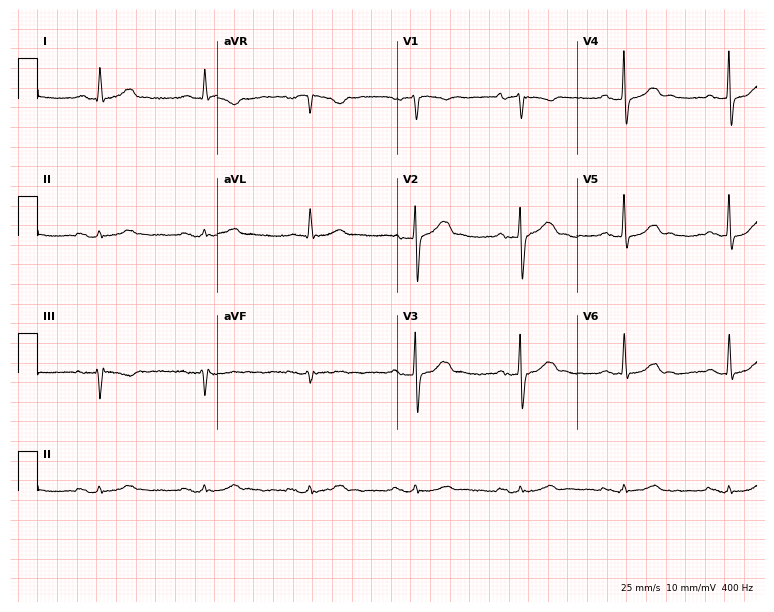
12-lead ECG from a male patient, 66 years old (7.3-second recording at 400 Hz). No first-degree AV block, right bundle branch block, left bundle branch block, sinus bradycardia, atrial fibrillation or sinus tachycardia recorded for this tracing.